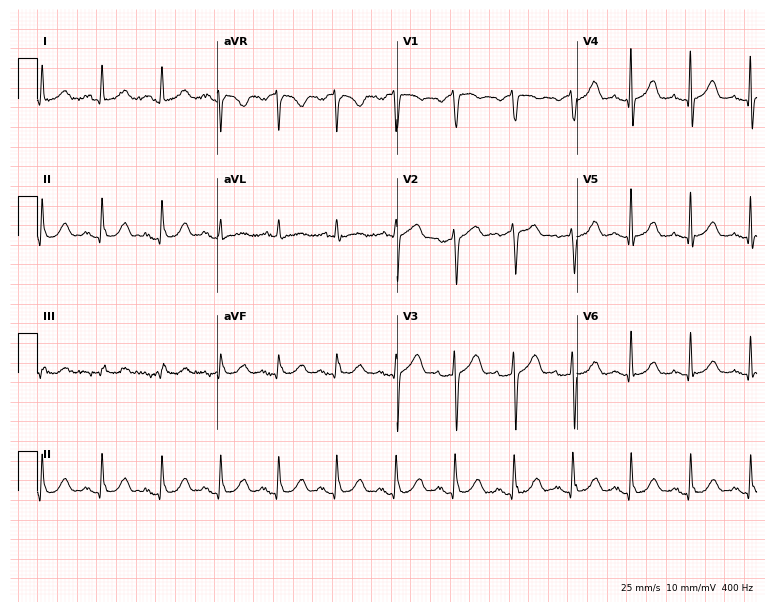
12-lead ECG from a 77-year-old female (7.3-second recording at 400 Hz). Recorded interpretation: within normal limits.